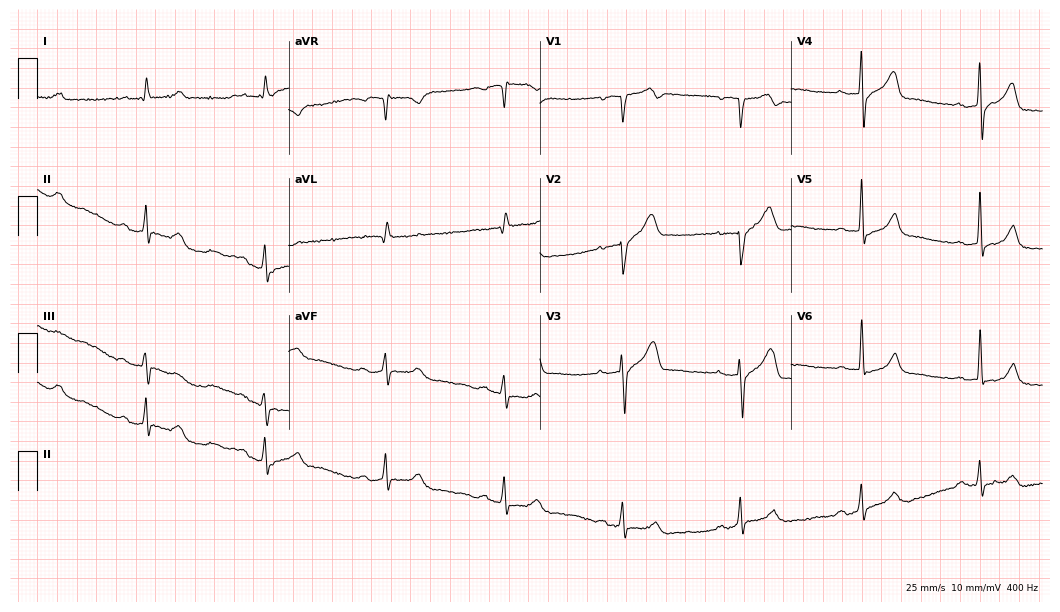
Electrocardiogram (10.2-second recording at 400 Hz), a man, 67 years old. Of the six screened findings (first-degree AV block, right bundle branch block, left bundle branch block, sinus bradycardia, atrial fibrillation, sinus tachycardia), none is recorded. Findings outside these six are not listed.